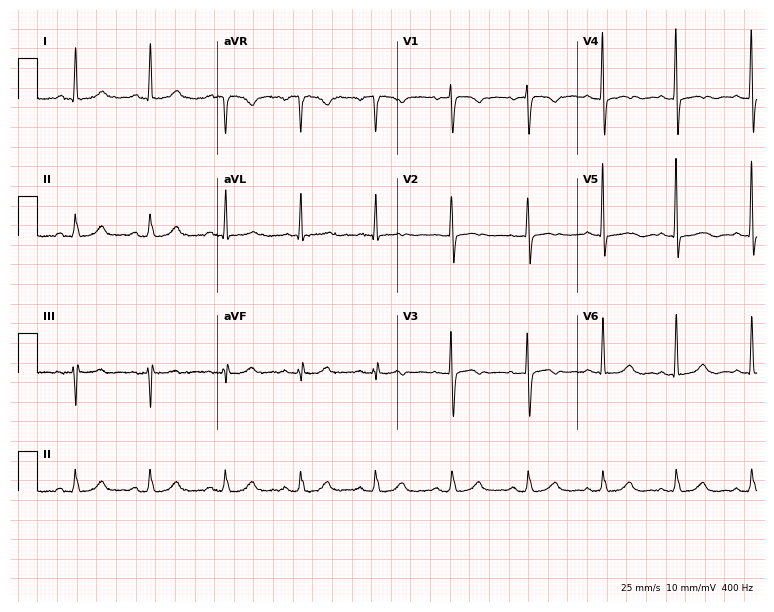
ECG (7.3-second recording at 400 Hz) — a female patient, 79 years old. Screened for six findings — first-degree AV block, right bundle branch block, left bundle branch block, sinus bradycardia, atrial fibrillation, sinus tachycardia — none is recorded.